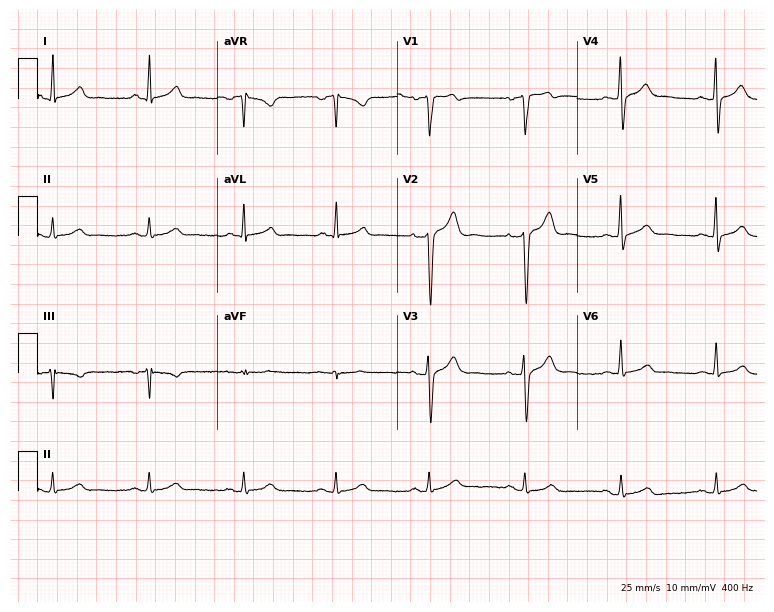
ECG — a 43-year-old male patient. Labelled as a normal ECG.